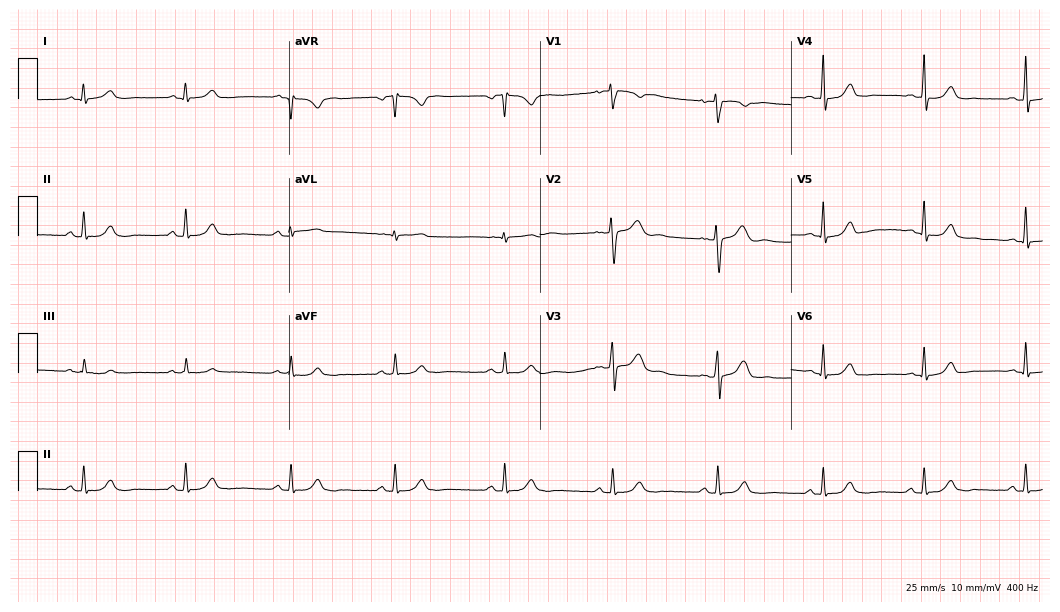
ECG (10.2-second recording at 400 Hz) — a woman, 26 years old. Screened for six findings — first-degree AV block, right bundle branch block (RBBB), left bundle branch block (LBBB), sinus bradycardia, atrial fibrillation (AF), sinus tachycardia — none is recorded. Only these six findings were labelled.